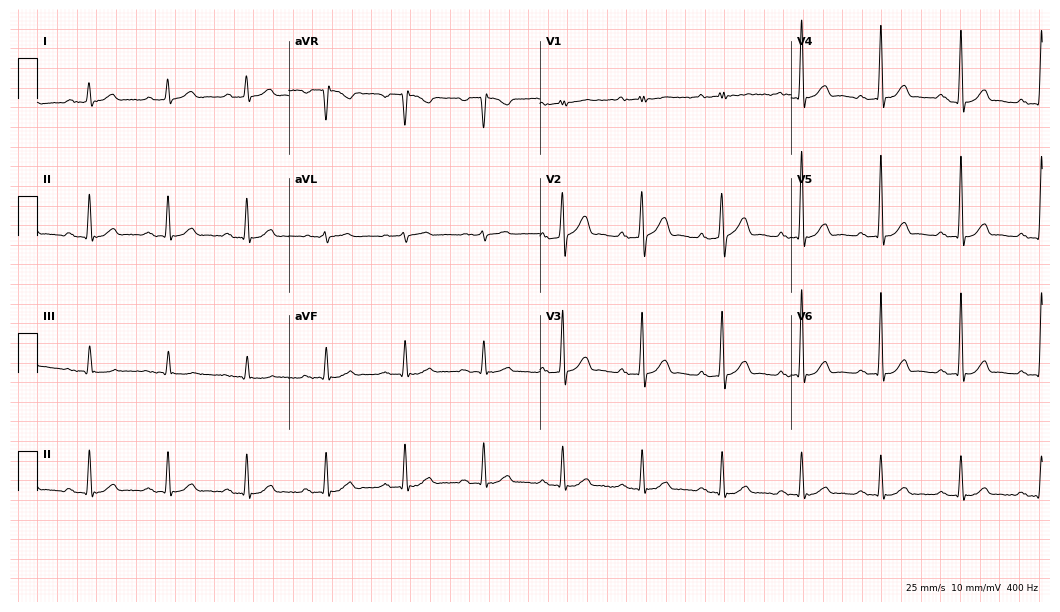
12-lead ECG (10.2-second recording at 400 Hz) from a 68-year-old male patient. Labelled as a normal ECG.